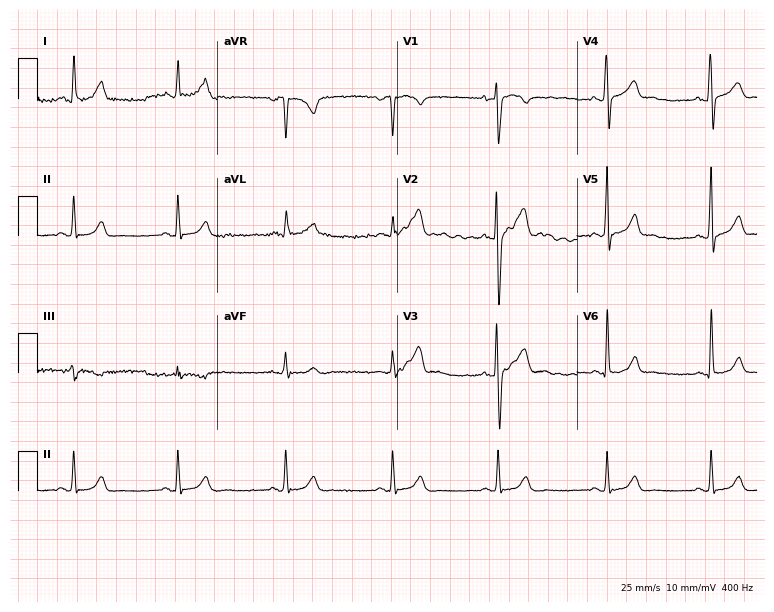
Resting 12-lead electrocardiogram. Patient: a male, 27 years old. Read as a normal ECG.